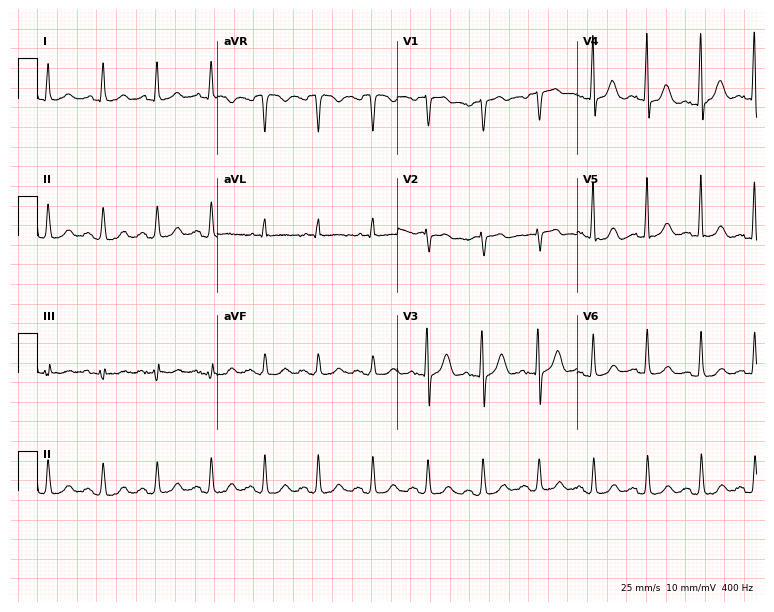
Standard 12-lead ECG recorded from a 61-year-old woman. The tracing shows sinus tachycardia (a sinus rate of 100 beats per minute or more).